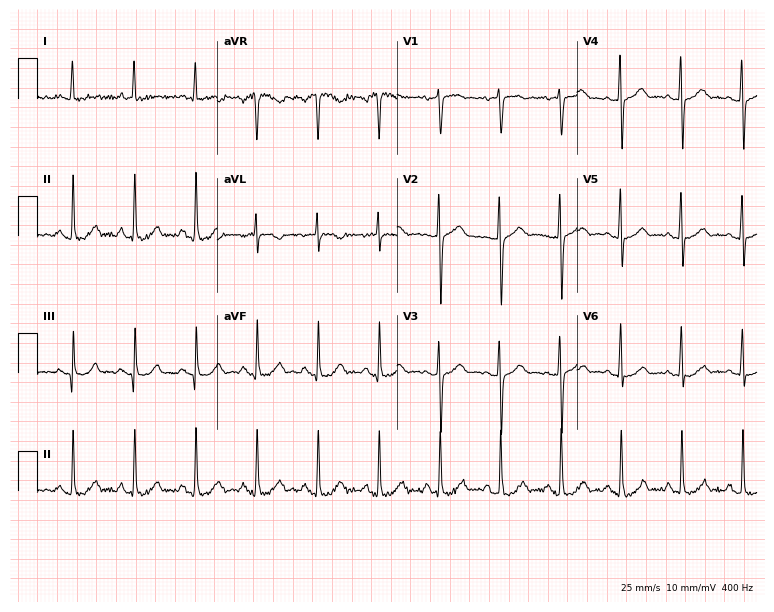
Standard 12-lead ECG recorded from a female, 56 years old (7.3-second recording at 400 Hz). None of these six findings is recorded: first-degree AV block, right bundle branch block, left bundle branch block, sinus bradycardia, atrial fibrillation, sinus tachycardia.